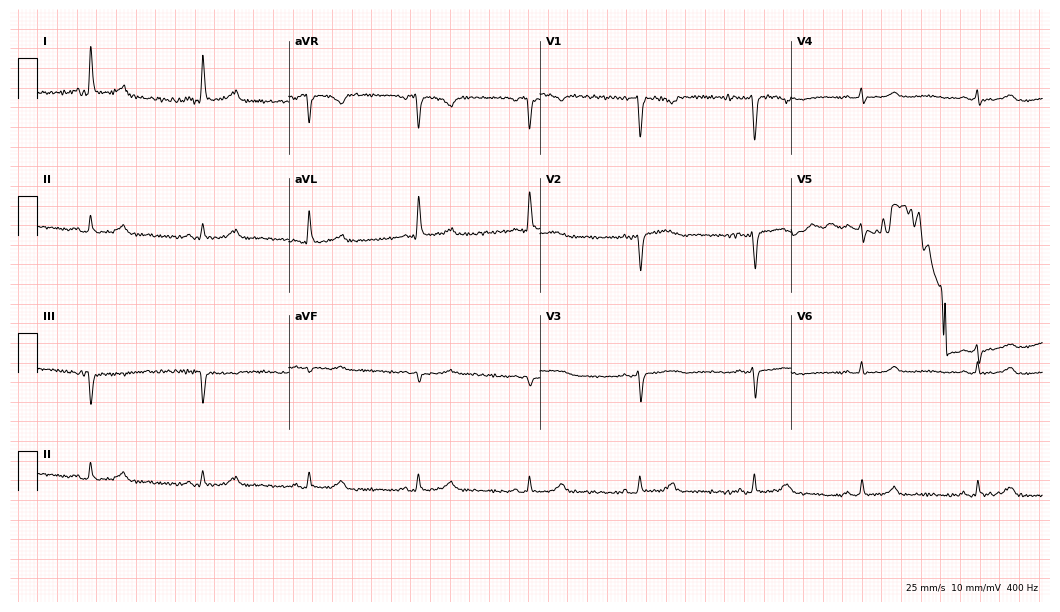
12-lead ECG from a 62-year-old female patient. Recorded interpretation: within normal limits.